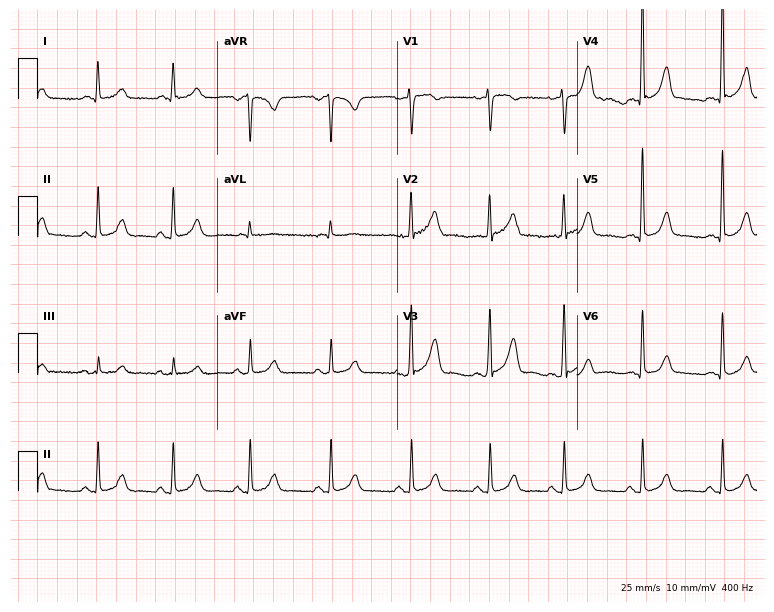
ECG — a 64-year-old female. Labelled as a normal ECG.